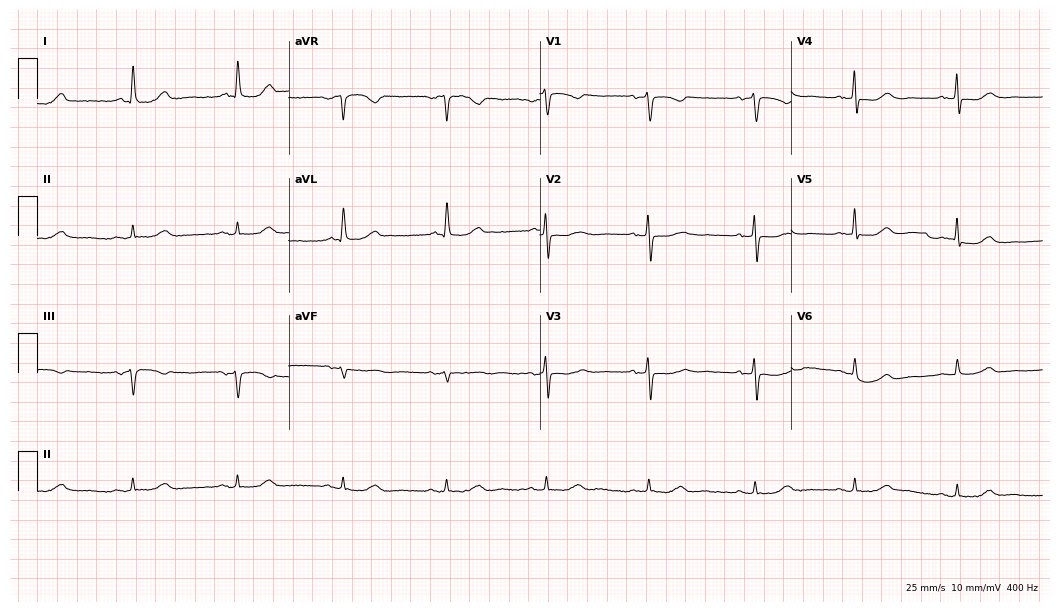
ECG — a female, 75 years old. Labelled as a normal ECG.